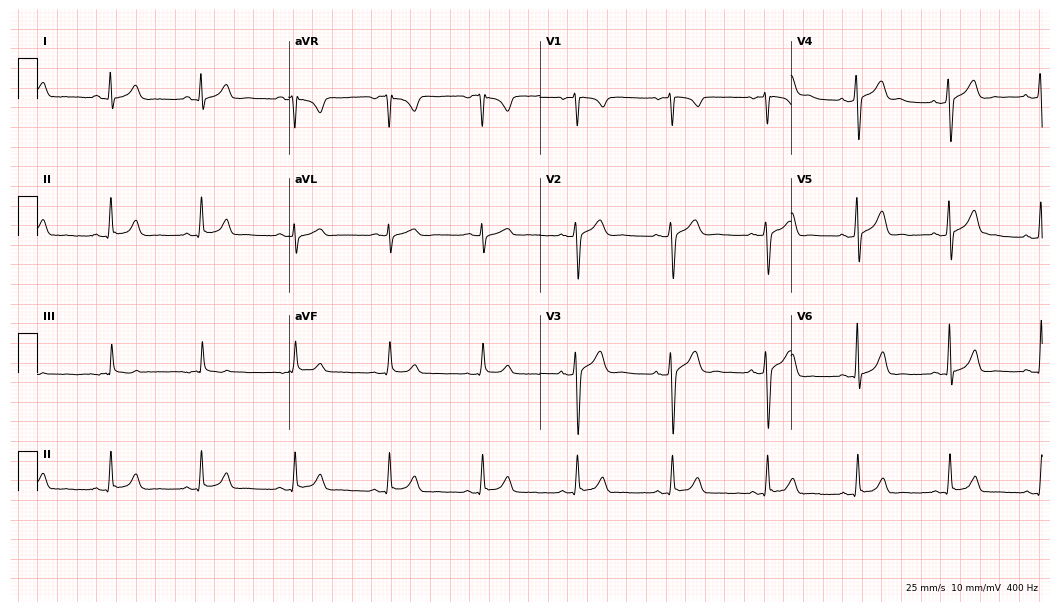
Standard 12-lead ECG recorded from a 49-year-old man. Read as a normal ECG.